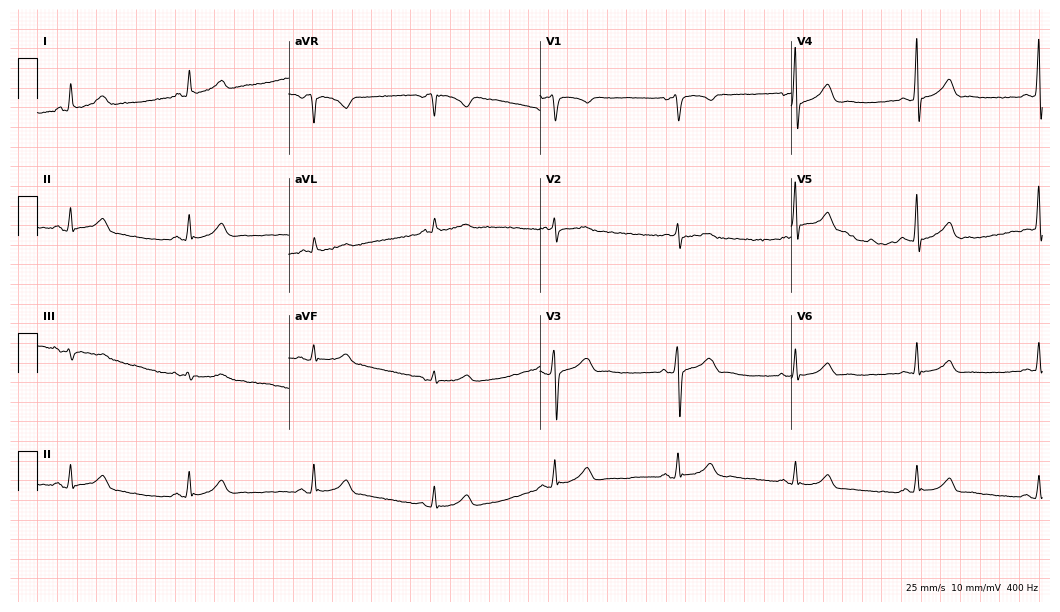
ECG (10.2-second recording at 400 Hz) — a 61-year-old male patient. Findings include sinus bradycardia (a sinus rate of 50 beats per minute or less).